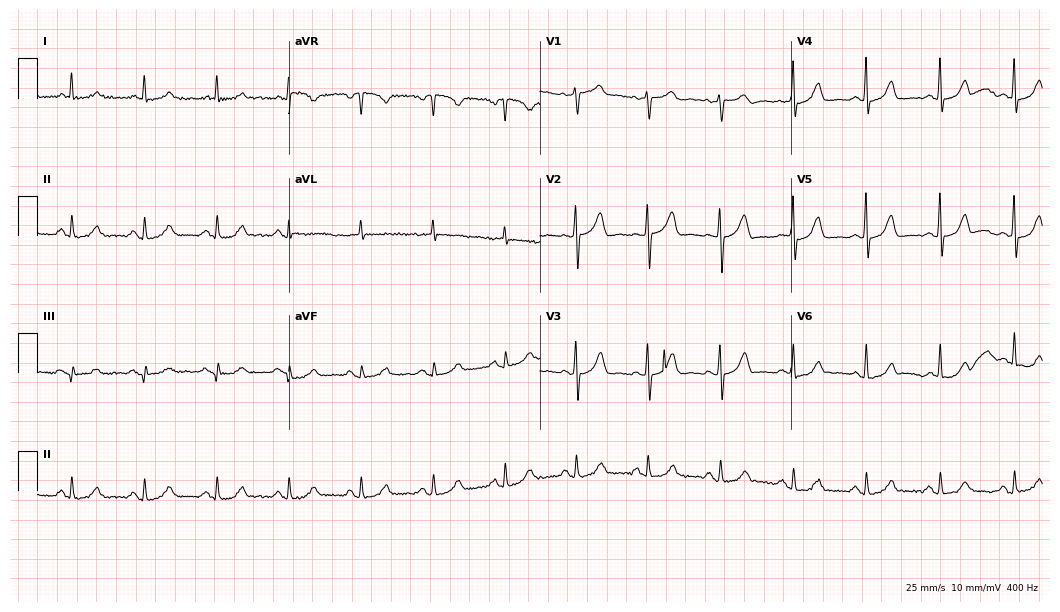
12-lead ECG from a 74-year-old woman. Recorded interpretation: within normal limits.